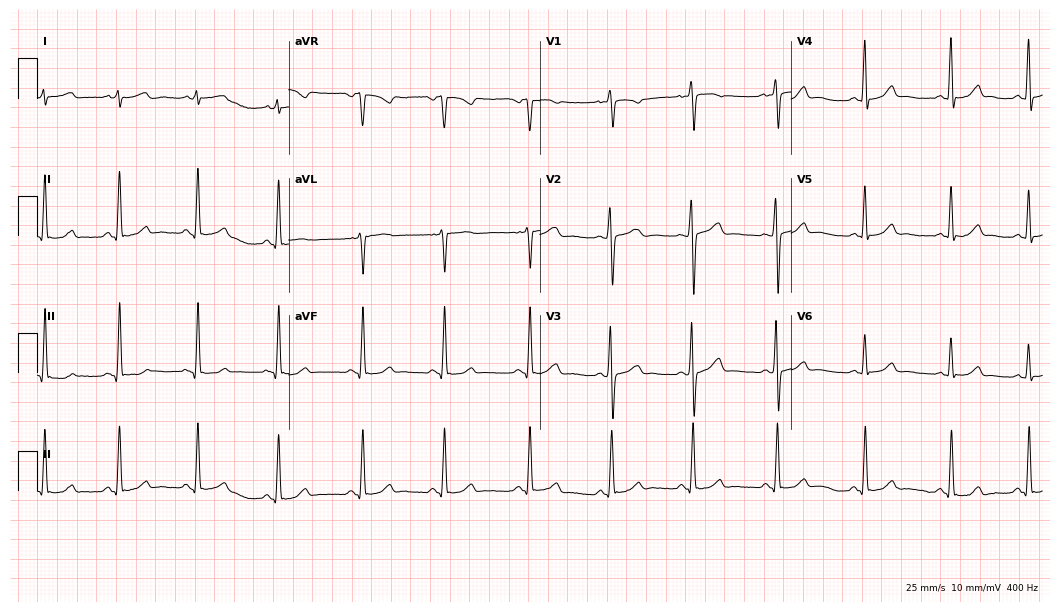
12-lead ECG (10.2-second recording at 400 Hz) from a female patient, 27 years old. Labelled as a normal ECG.